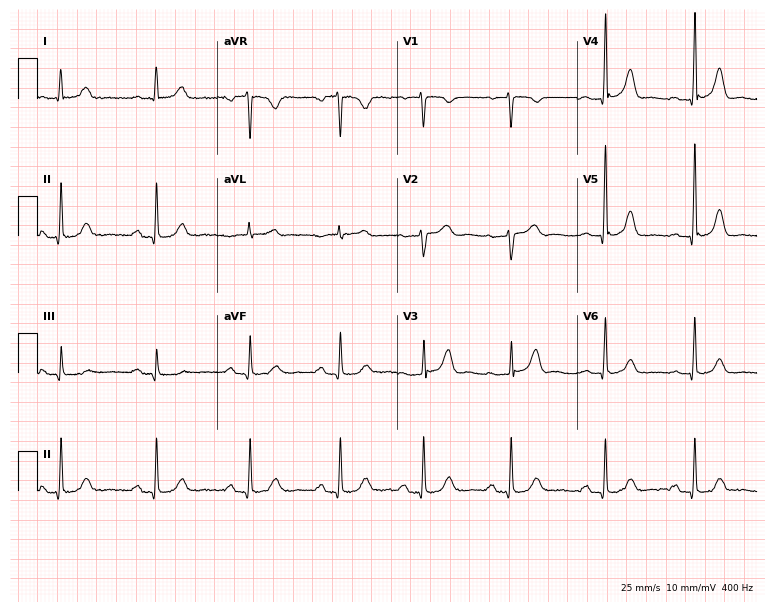
12-lead ECG from a female patient, 58 years old. Screened for six findings — first-degree AV block, right bundle branch block, left bundle branch block, sinus bradycardia, atrial fibrillation, sinus tachycardia — none is recorded. Findings outside these six are not listed.